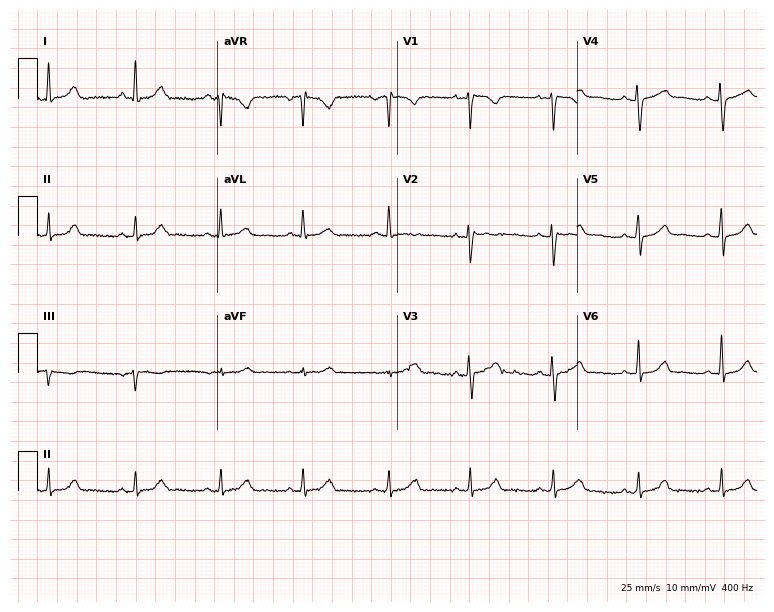
12-lead ECG (7.3-second recording at 400 Hz) from a female patient, 31 years old. Labelled as a normal ECG.